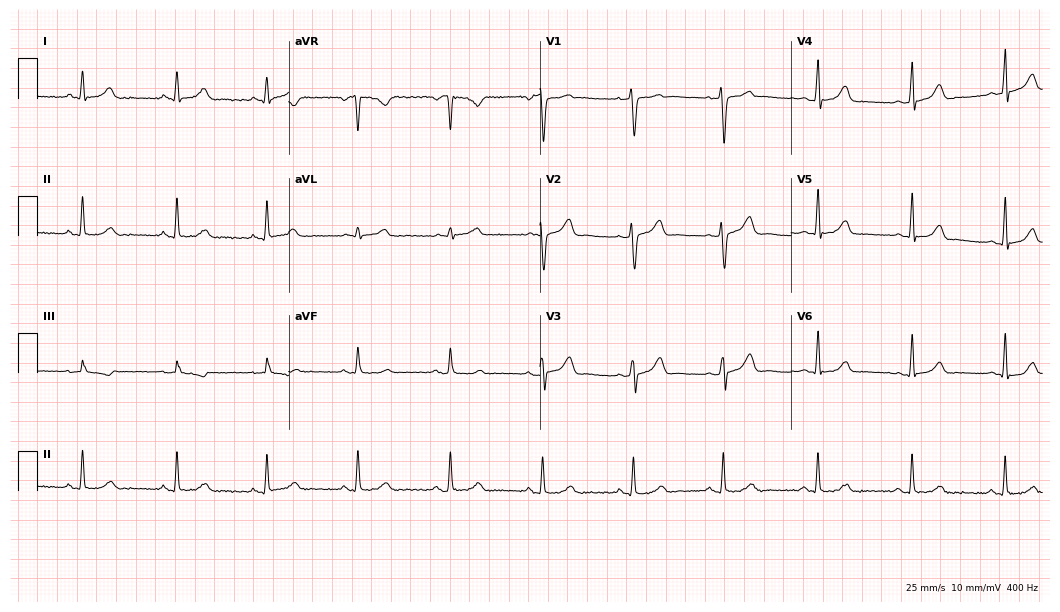
12-lead ECG from a 42-year-old man (10.2-second recording at 400 Hz). Recorded interpretation: within normal limits.